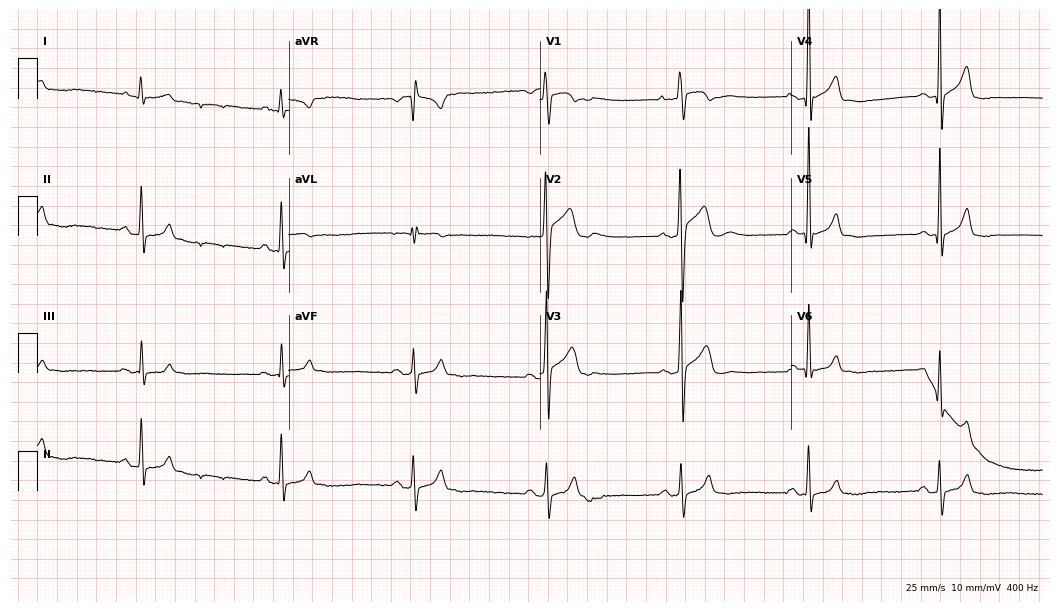
12-lead ECG from a 26-year-old man (10.2-second recording at 400 Hz). Shows sinus bradycardia (a sinus rate of 50 beats per minute or less).